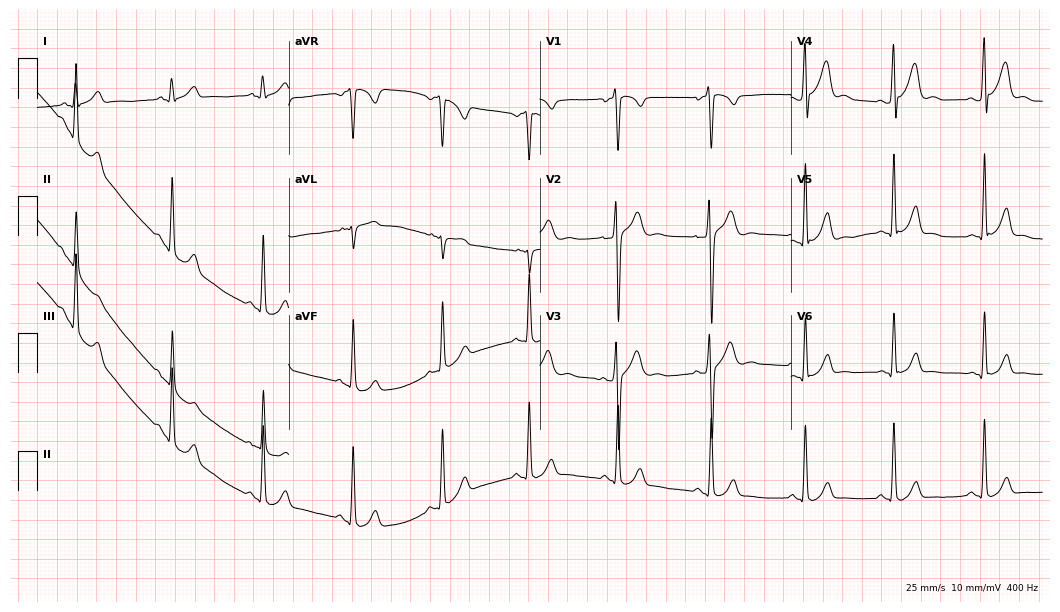
Standard 12-lead ECG recorded from a male patient, 19 years old. Read as a normal ECG.